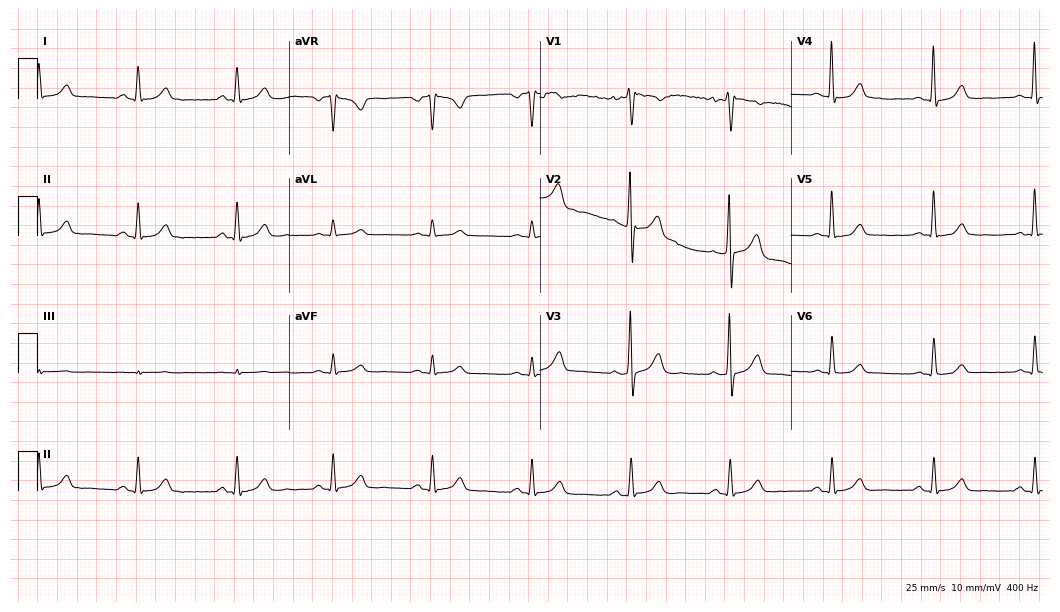
Resting 12-lead electrocardiogram (10.2-second recording at 400 Hz). Patient: a 60-year-old male. Read as a normal ECG.